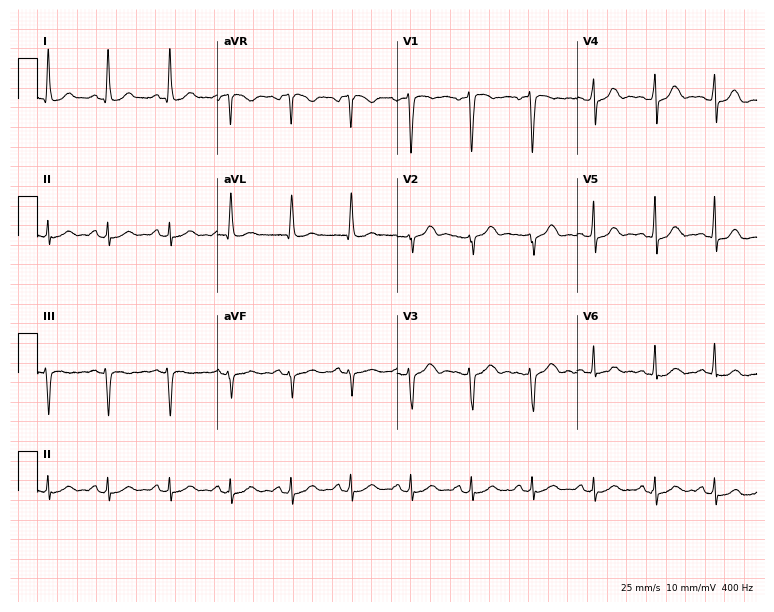
Electrocardiogram (7.3-second recording at 400 Hz), a female patient, 48 years old. Of the six screened findings (first-degree AV block, right bundle branch block, left bundle branch block, sinus bradycardia, atrial fibrillation, sinus tachycardia), none is recorded.